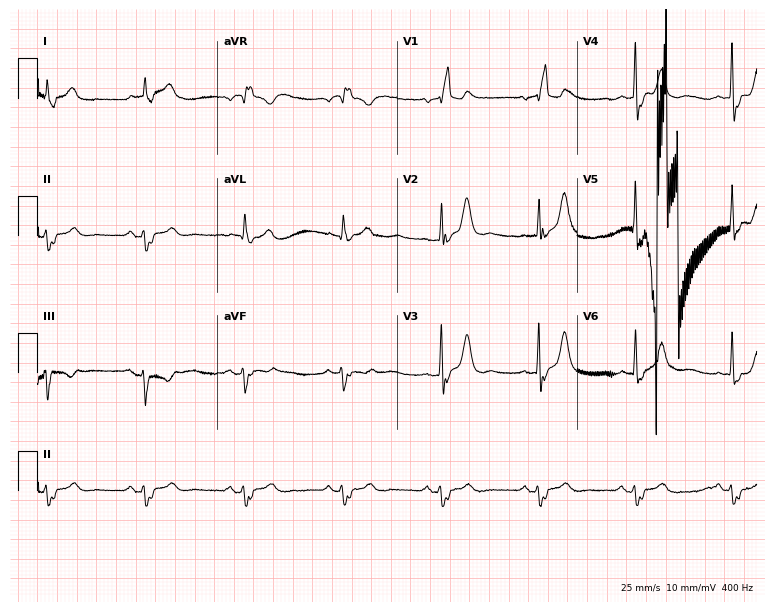
12-lead ECG from a female patient, 77 years old. Findings include right bundle branch block (RBBB).